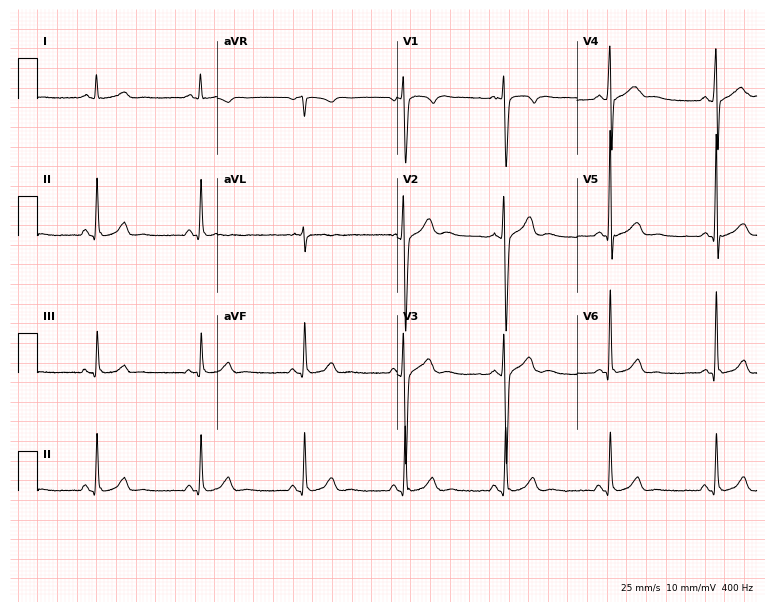
ECG (7.3-second recording at 400 Hz) — a 27-year-old man. Screened for six findings — first-degree AV block, right bundle branch block, left bundle branch block, sinus bradycardia, atrial fibrillation, sinus tachycardia — none is recorded.